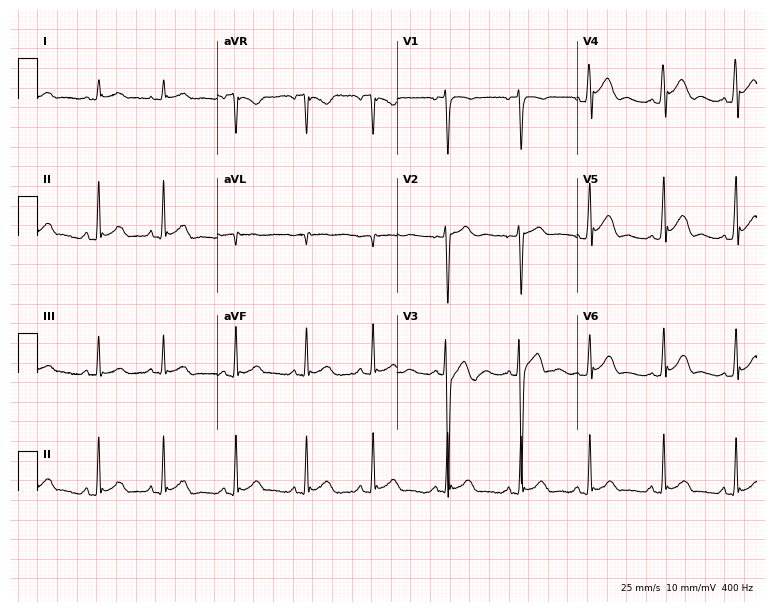
12-lead ECG from a 19-year-old male patient. Screened for six findings — first-degree AV block, right bundle branch block, left bundle branch block, sinus bradycardia, atrial fibrillation, sinus tachycardia — none is recorded.